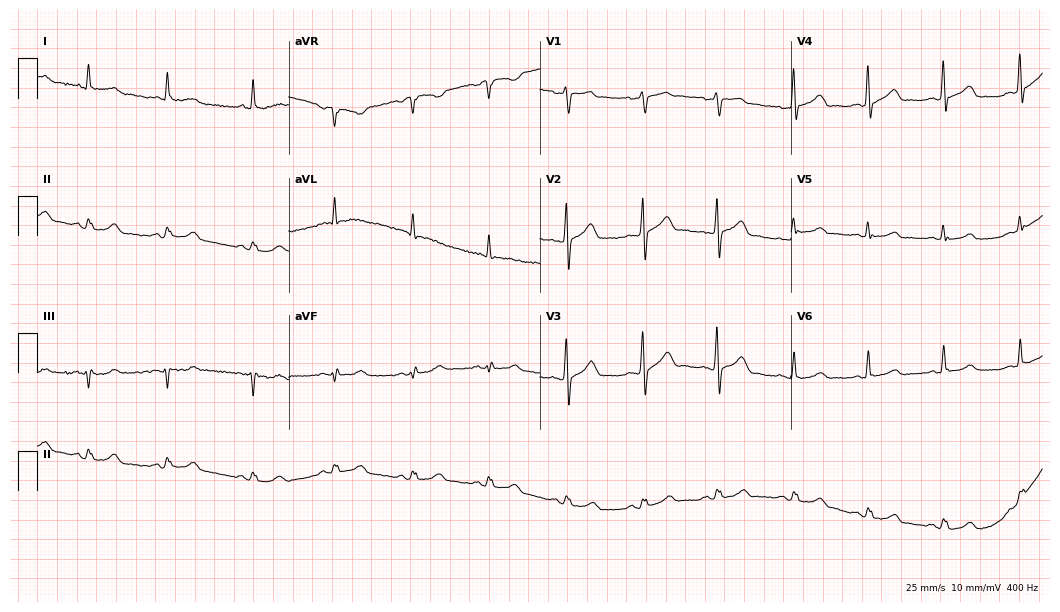
Electrocardiogram (10.2-second recording at 400 Hz), a male, 46 years old. Of the six screened findings (first-degree AV block, right bundle branch block, left bundle branch block, sinus bradycardia, atrial fibrillation, sinus tachycardia), none is recorded.